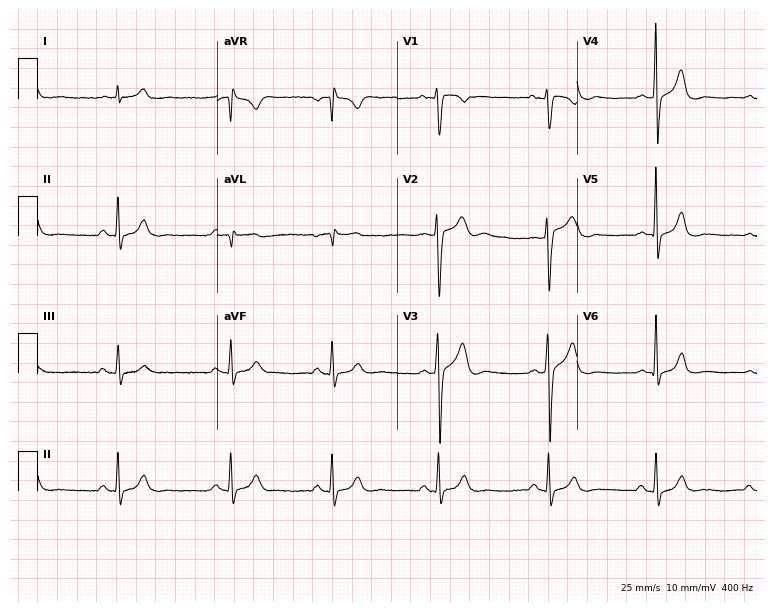
ECG (7.3-second recording at 400 Hz) — a male, 31 years old. Labelled as a normal ECG.